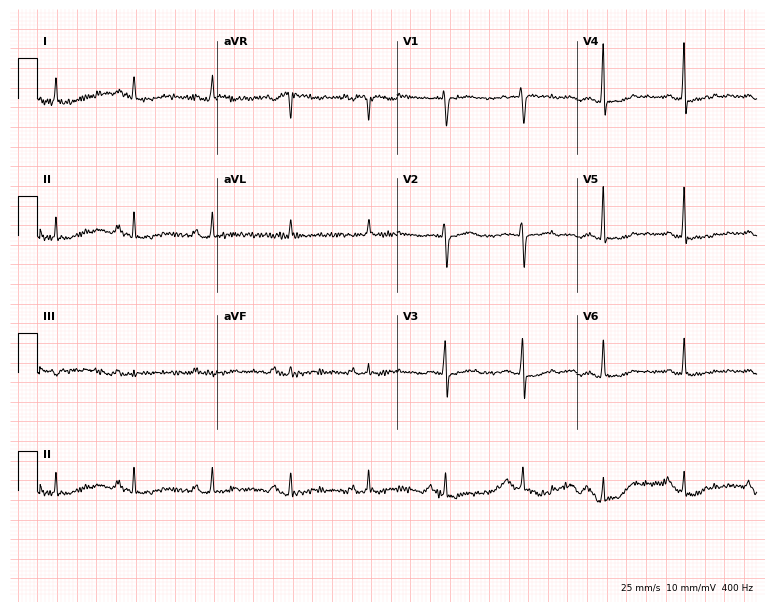
Resting 12-lead electrocardiogram (7.3-second recording at 400 Hz). Patient: a 65-year-old female. None of these six findings is recorded: first-degree AV block, right bundle branch block, left bundle branch block, sinus bradycardia, atrial fibrillation, sinus tachycardia.